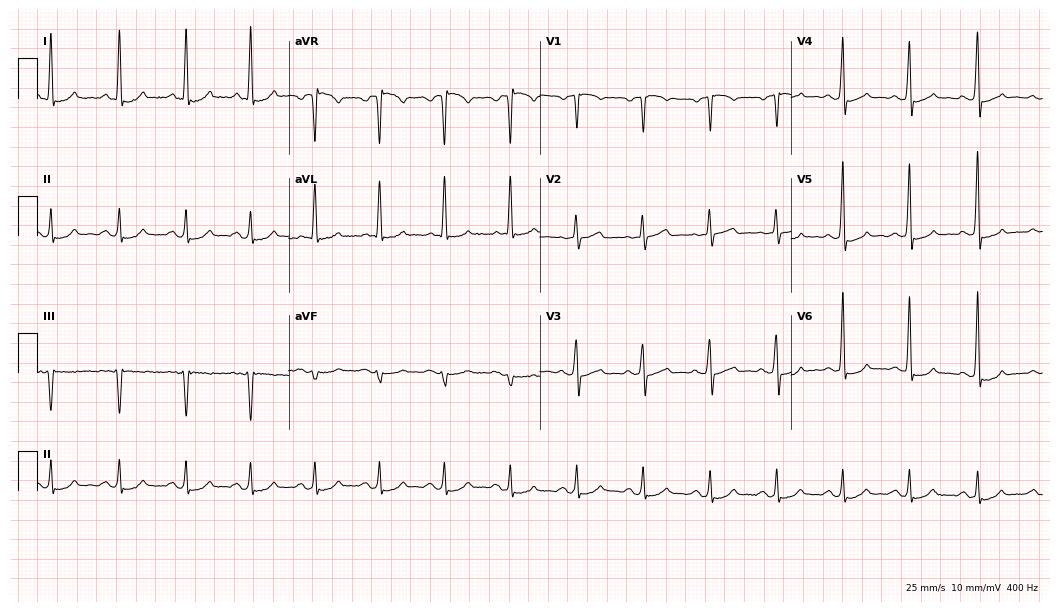
12-lead ECG from a 54-year-old man (10.2-second recording at 400 Hz). No first-degree AV block, right bundle branch block, left bundle branch block, sinus bradycardia, atrial fibrillation or sinus tachycardia recorded for this tracing. Other findings, if any, are not listed.